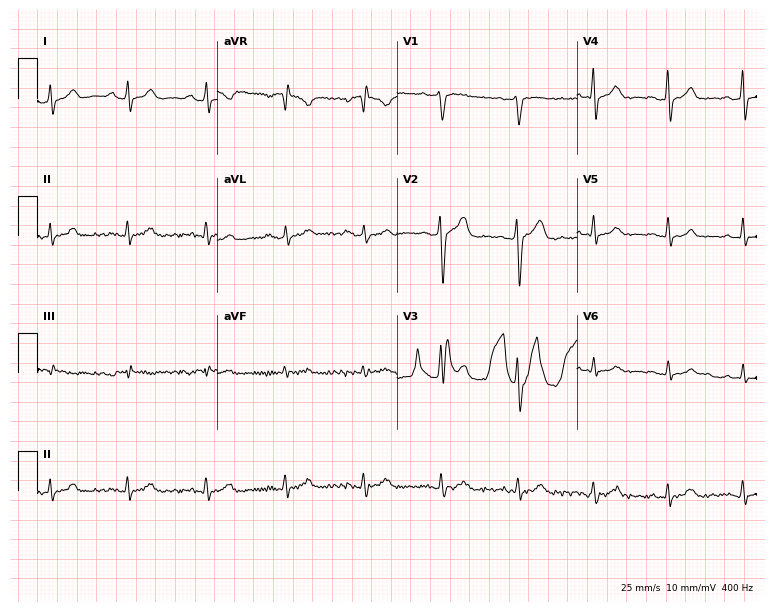
12-lead ECG from a 39-year-old man. Screened for six findings — first-degree AV block, right bundle branch block (RBBB), left bundle branch block (LBBB), sinus bradycardia, atrial fibrillation (AF), sinus tachycardia — none is recorded. Other findings, if any, are not listed.